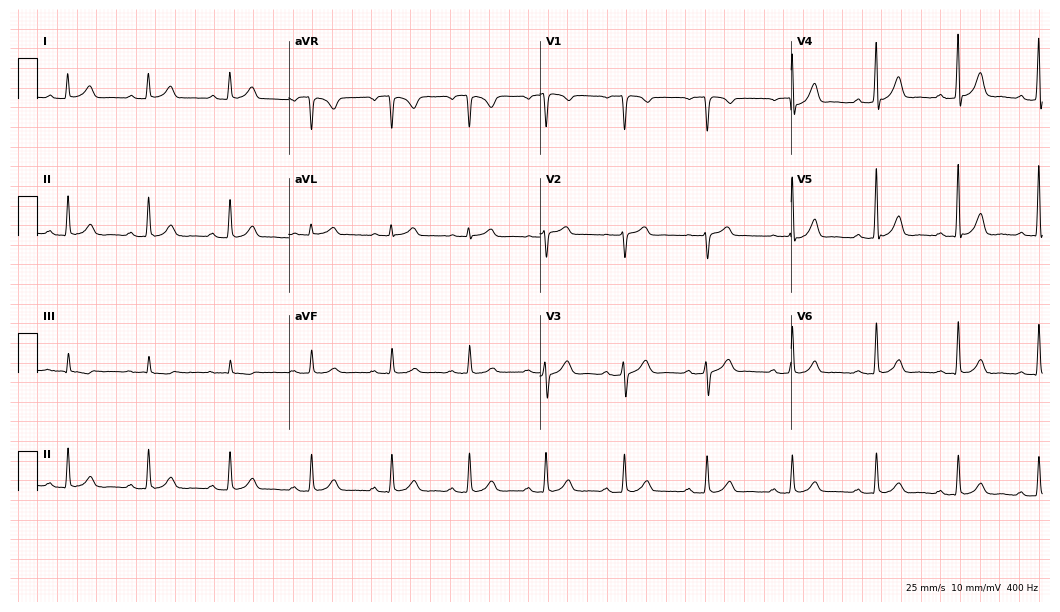
Resting 12-lead electrocardiogram. Patient: a male, 39 years old. Read as a normal ECG.